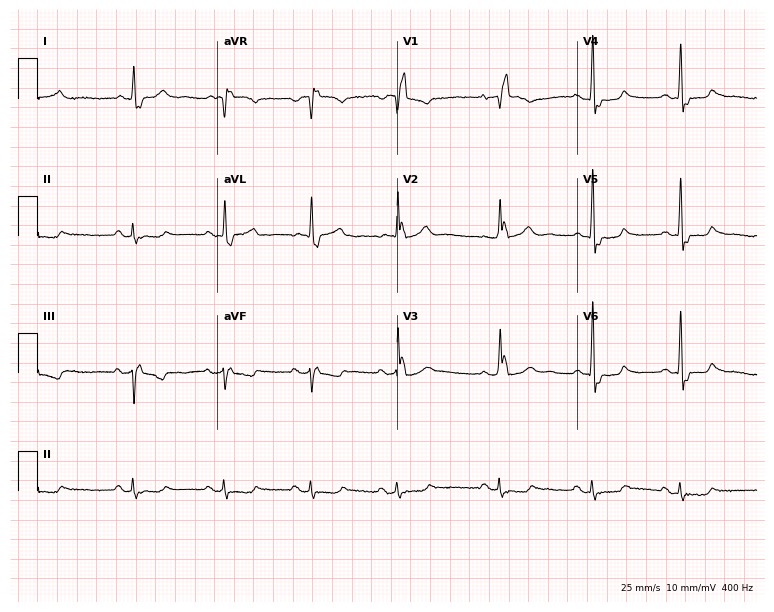
Electrocardiogram, a male, 76 years old. Interpretation includes right bundle branch block.